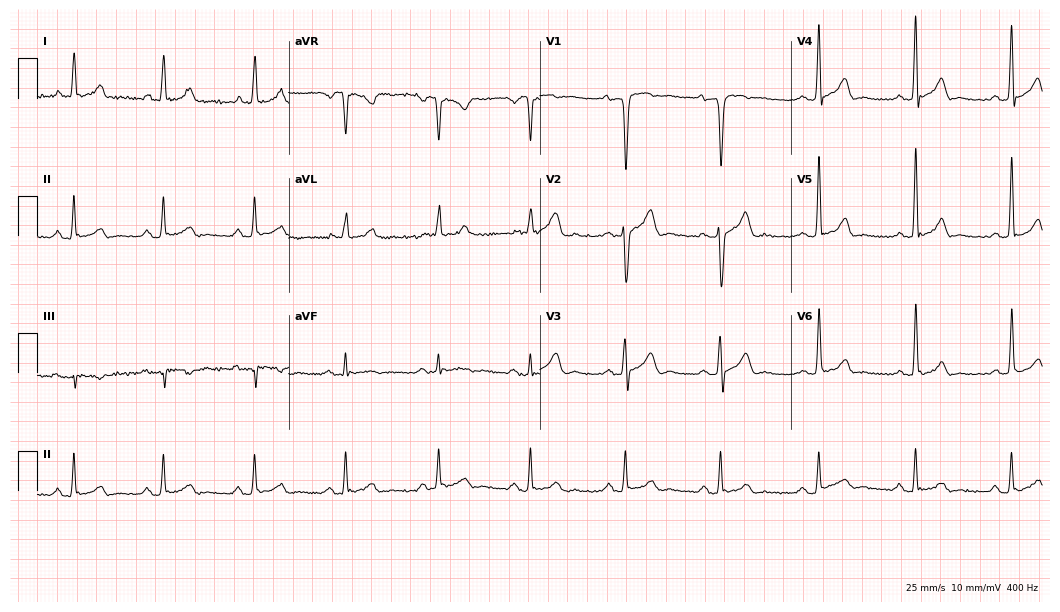
Electrocardiogram (10.2-second recording at 400 Hz), a man, 59 years old. Overall reading on record: normal ECG.